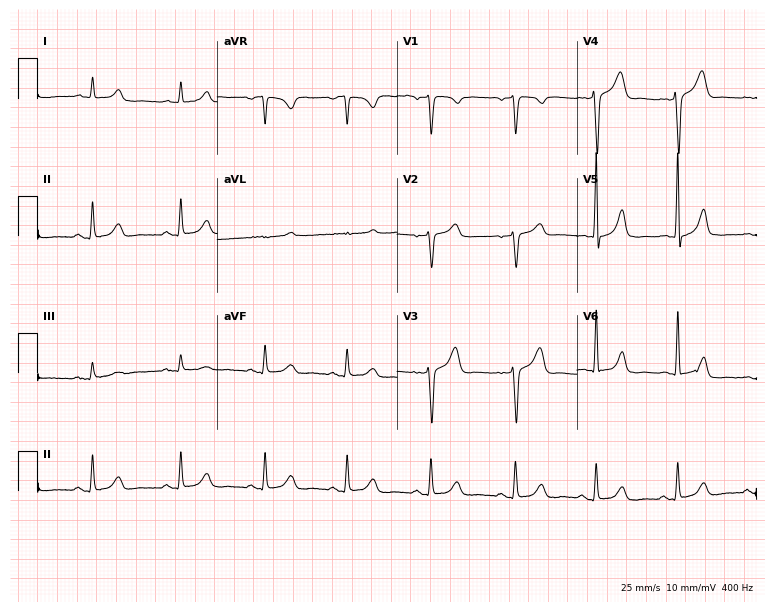
12-lead ECG from a woman, 47 years old. No first-degree AV block, right bundle branch block, left bundle branch block, sinus bradycardia, atrial fibrillation or sinus tachycardia recorded for this tracing. Findings outside these six are not listed.